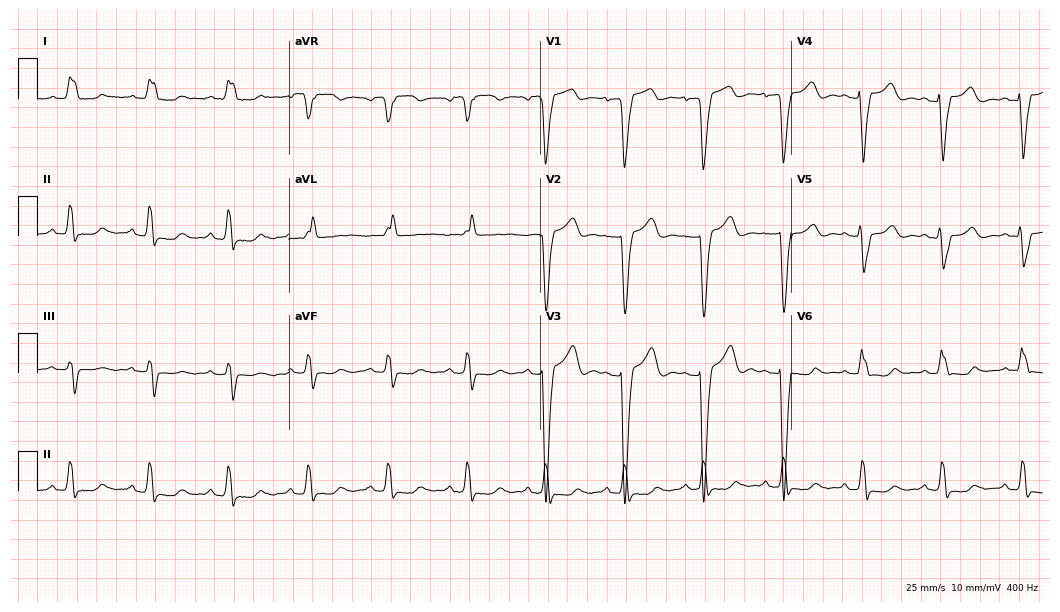
Resting 12-lead electrocardiogram. Patient: a female, 56 years old. The tracing shows left bundle branch block (LBBB).